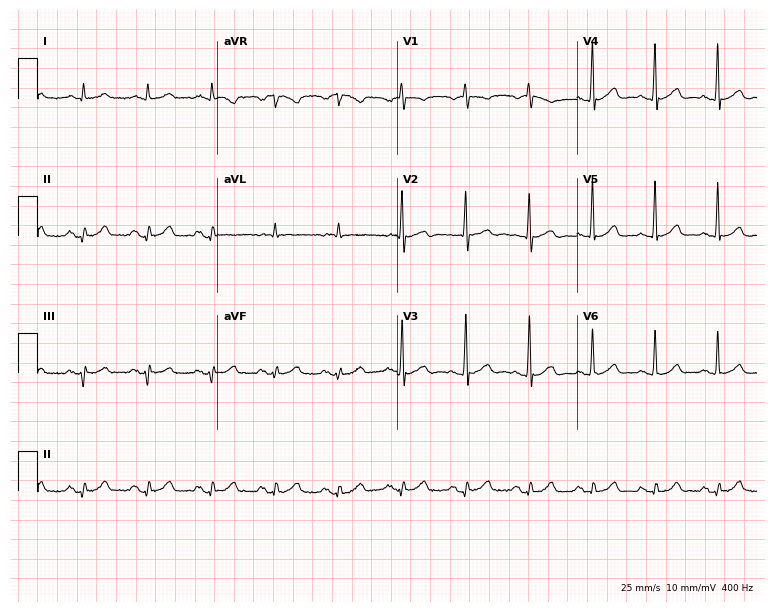
Resting 12-lead electrocardiogram. Patient: a 73-year-old man. Read as a normal ECG.